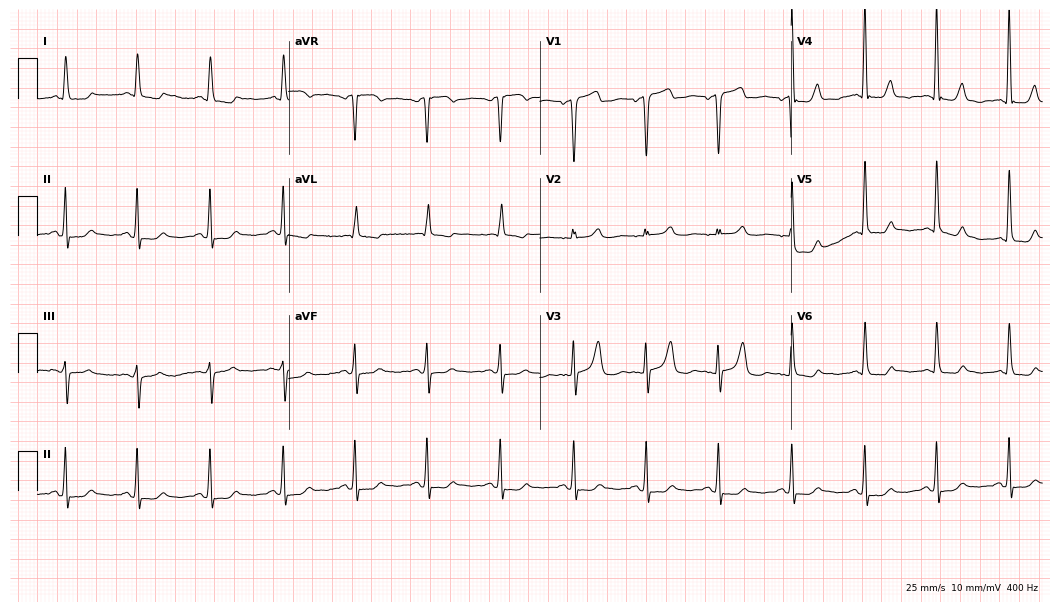
ECG (10.2-second recording at 400 Hz) — a female, 54 years old. Screened for six findings — first-degree AV block, right bundle branch block (RBBB), left bundle branch block (LBBB), sinus bradycardia, atrial fibrillation (AF), sinus tachycardia — none is recorded.